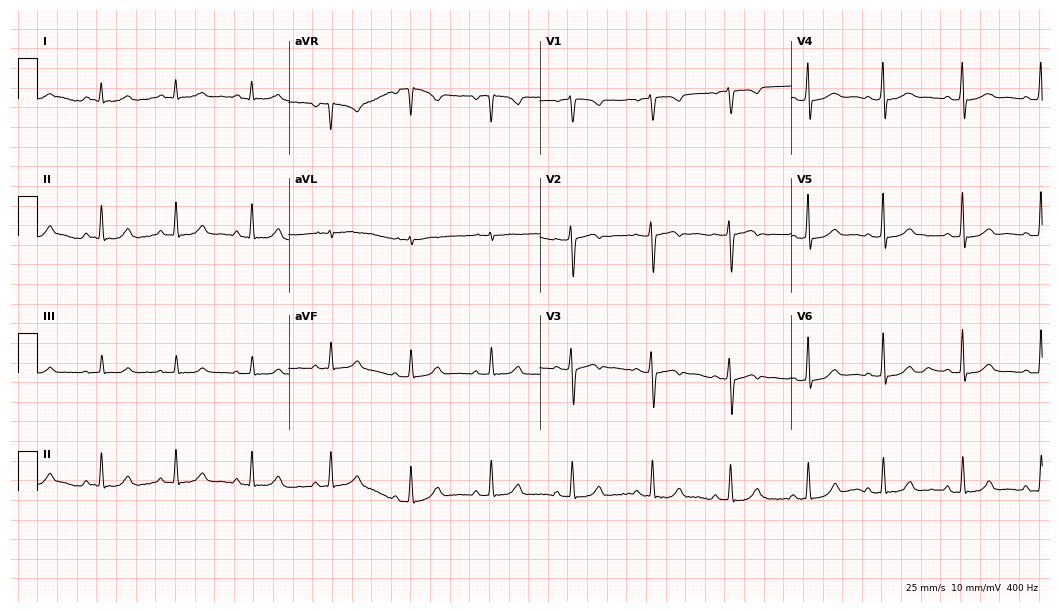
ECG (10.2-second recording at 400 Hz) — a female, 55 years old. Screened for six findings — first-degree AV block, right bundle branch block, left bundle branch block, sinus bradycardia, atrial fibrillation, sinus tachycardia — none is recorded.